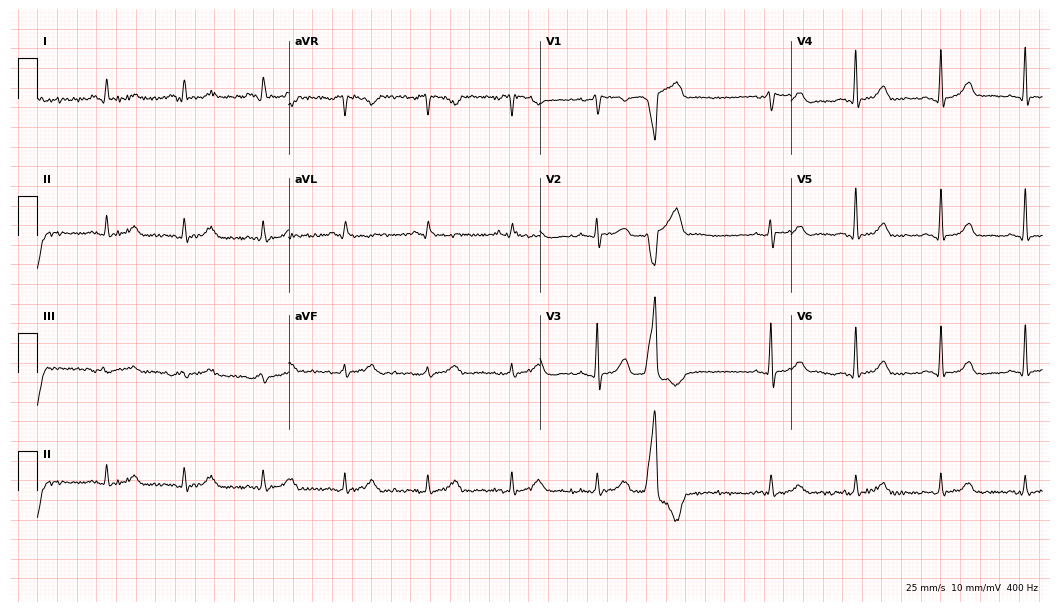
Resting 12-lead electrocardiogram. Patient: a male, 69 years old. None of these six findings is recorded: first-degree AV block, right bundle branch block, left bundle branch block, sinus bradycardia, atrial fibrillation, sinus tachycardia.